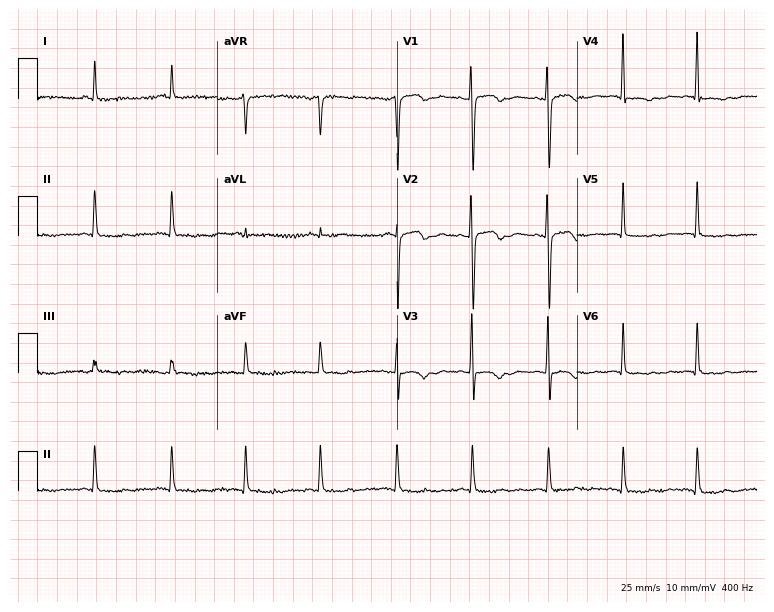
Electrocardiogram, a female patient, 51 years old. Overall reading on record: normal ECG.